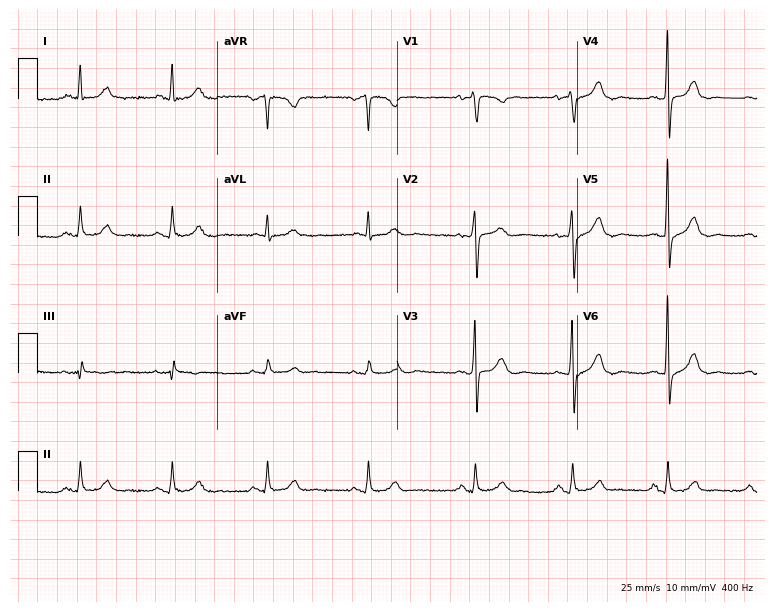
12-lead ECG from a 74-year-old female (7.3-second recording at 400 Hz). No first-degree AV block, right bundle branch block, left bundle branch block, sinus bradycardia, atrial fibrillation or sinus tachycardia recorded for this tracing.